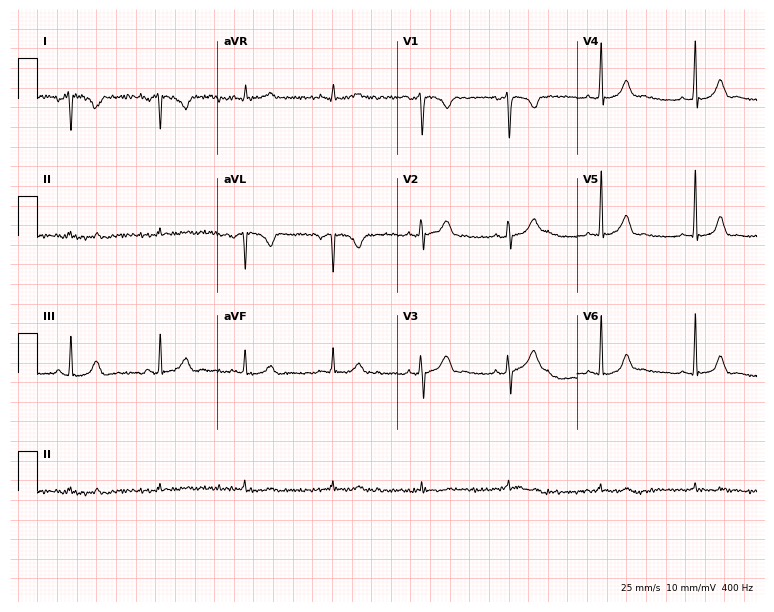
ECG (7.3-second recording at 400 Hz) — a female, 36 years old. Screened for six findings — first-degree AV block, right bundle branch block, left bundle branch block, sinus bradycardia, atrial fibrillation, sinus tachycardia — none is recorded.